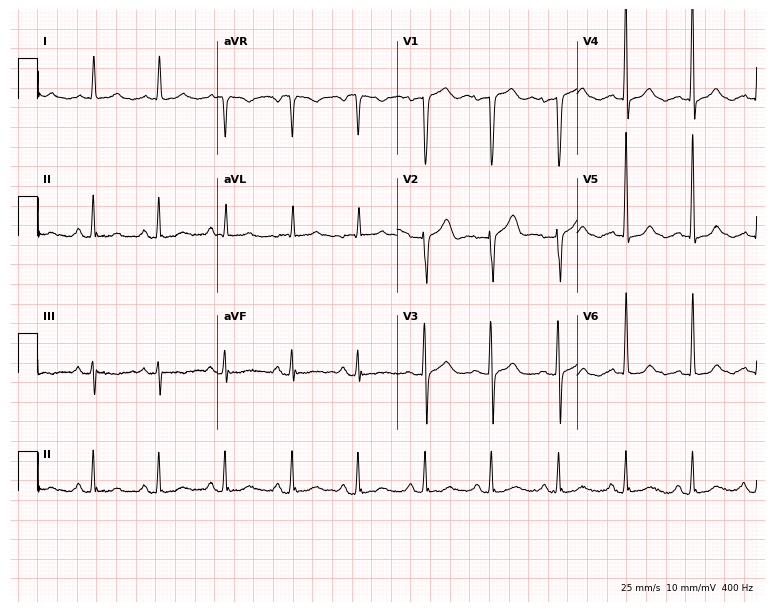
Resting 12-lead electrocardiogram (7.3-second recording at 400 Hz). Patient: an 84-year-old female. Read as a normal ECG.